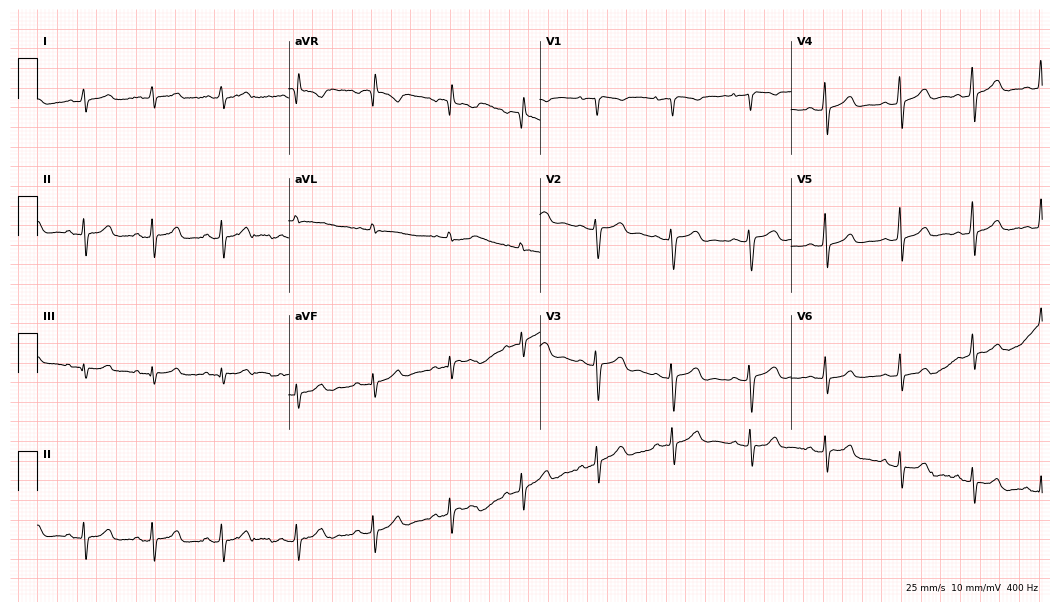
12-lead ECG from a female, 19 years old. Screened for six findings — first-degree AV block, right bundle branch block, left bundle branch block, sinus bradycardia, atrial fibrillation, sinus tachycardia — none is recorded.